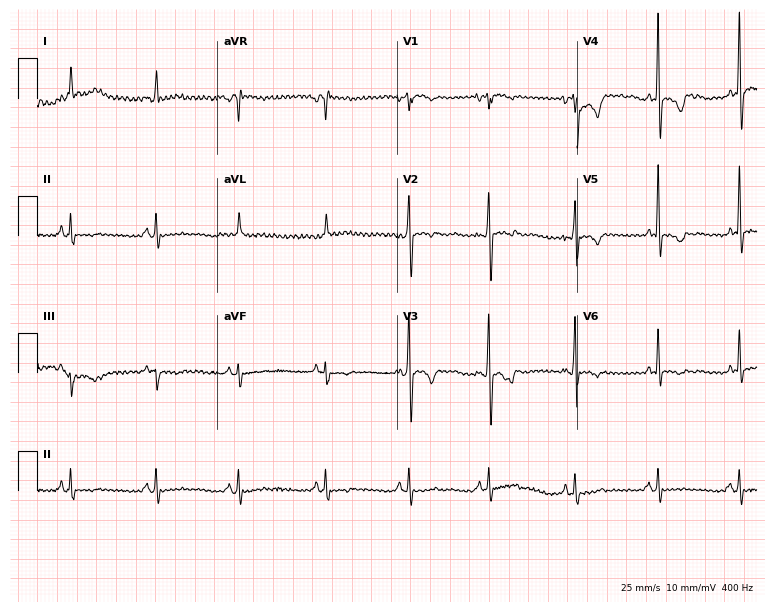
Resting 12-lead electrocardiogram (7.3-second recording at 400 Hz). Patient: a female, 84 years old. None of these six findings is recorded: first-degree AV block, right bundle branch block, left bundle branch block, sinus bradycardia, atrial fibrillation, sinus tachycardia. Other findings, if any, are not listed.